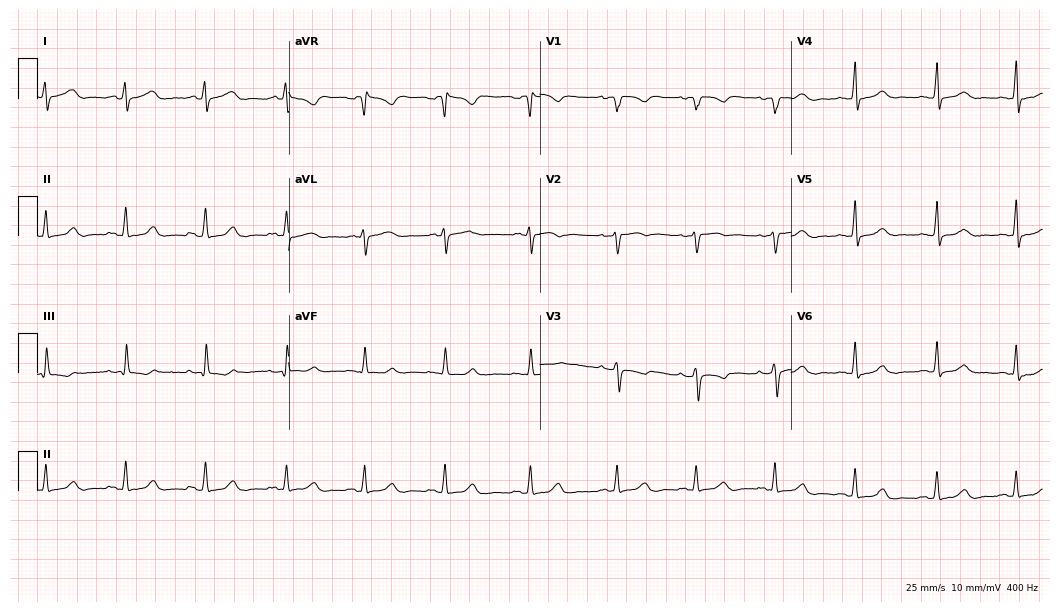
Resting 12-lead electrocardiogram. Patient: a woman, 22 years old. Read as a normal ECG.